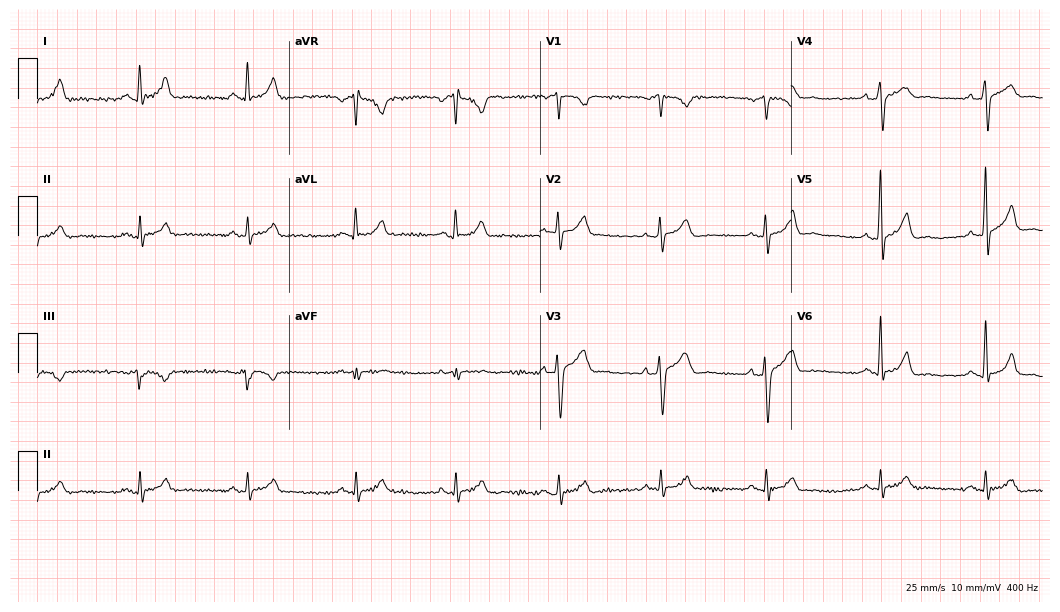
12-lead ECG from a male patient, 47 years old (10.2-second recording at 400 Hz). Recorded interpretation: within normal limits.